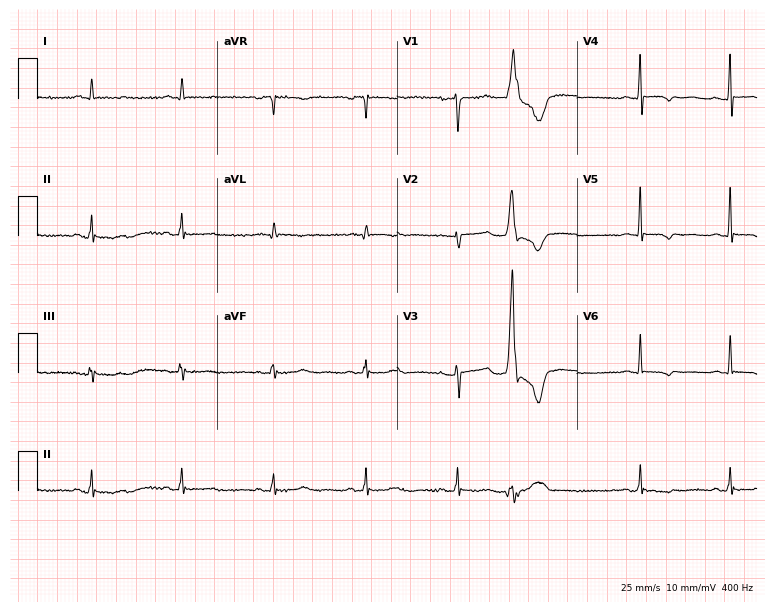
Resting 12-lead electrocardiogram (7.3-second recording at 400 Hz). Patient: a female, 44 years old. None of these six findings is recorded: first-degree AV block, right bundle branch block, left bundle branch block, sinus bradycardia, atrial fibrillation, sinus tachycardia. Only these six findings were labelled.